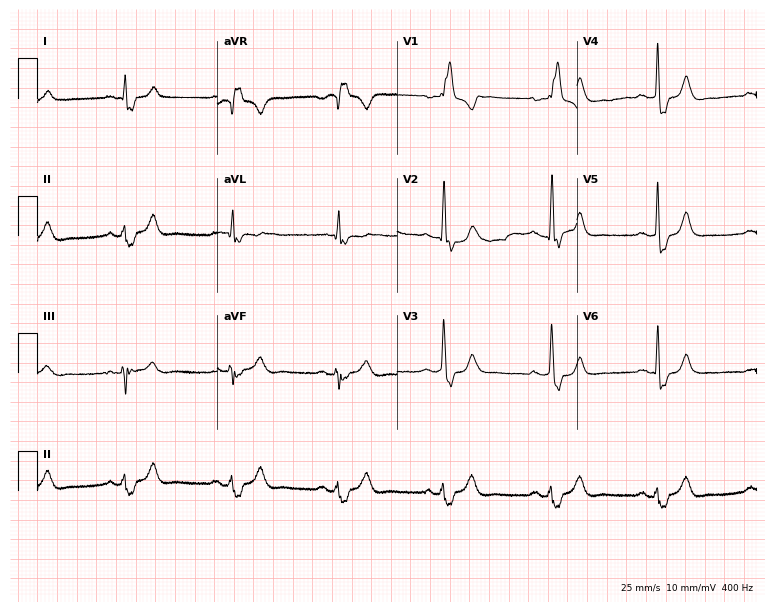
Resting 12-lead electrocardiogram. Patient: a 74-year-old male. The tracing shows right bundle branch block.